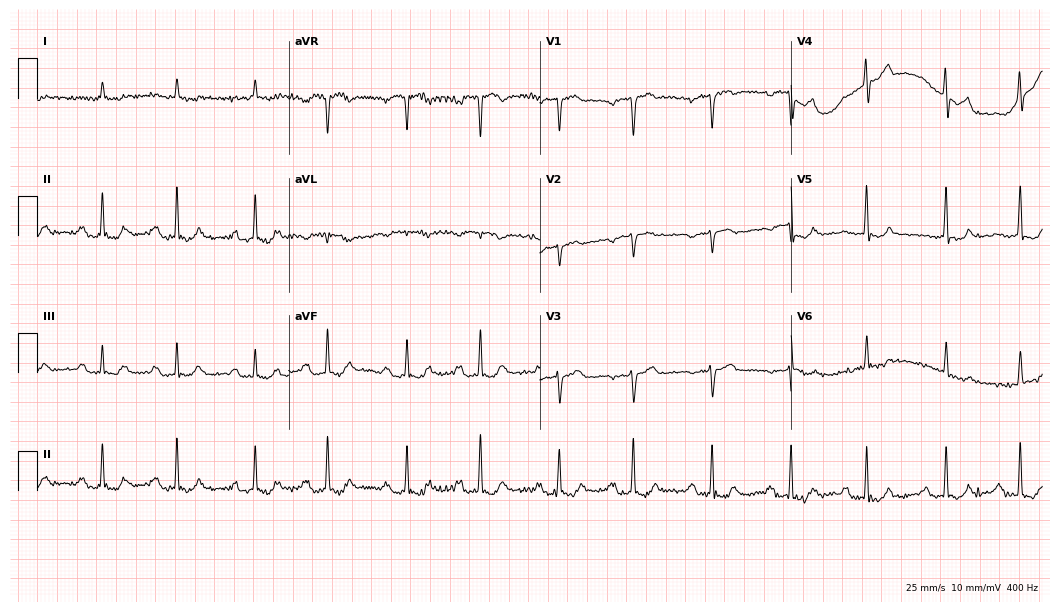
12-lead ECG (10.2-second recording at 400 Hz) from a man, 84 years old. Findings include first-degree AV block.